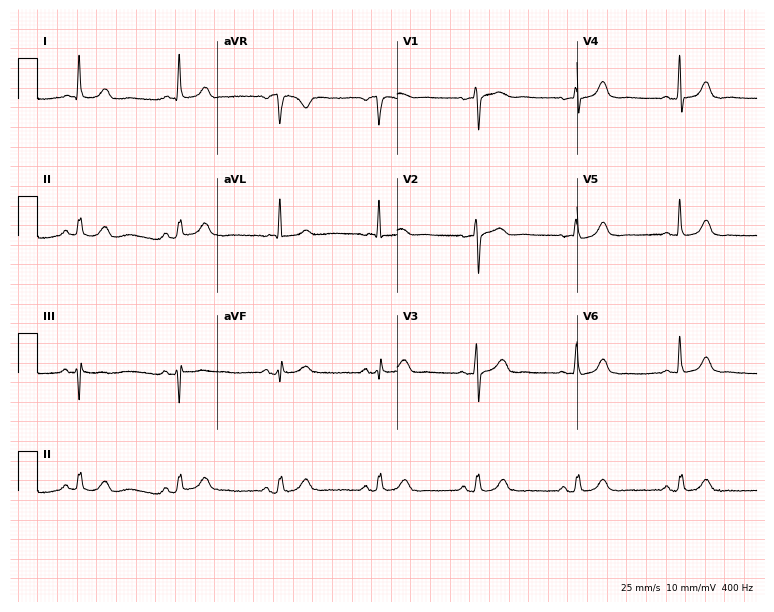
Resting 12-lead electrocardiogram (7.3-second recording at 400 Hz). Patient: a 75-year-old female. Read as a normal ECG.